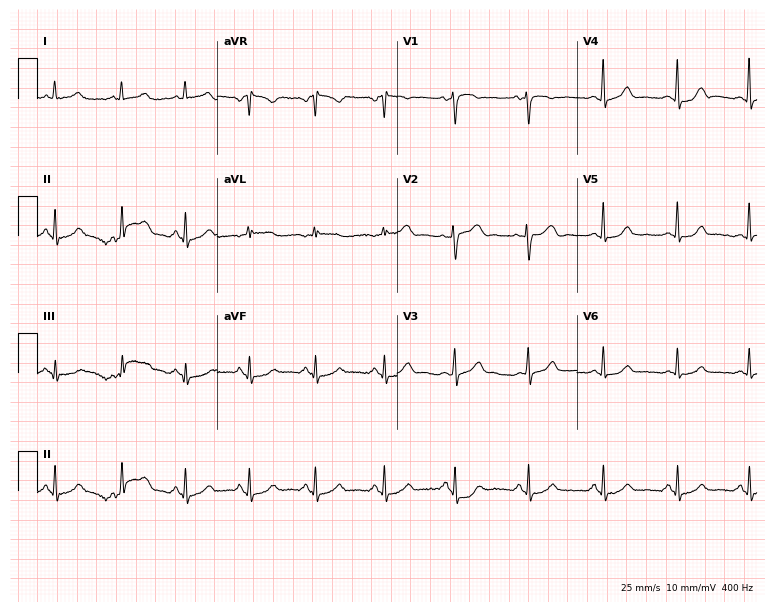
12-lead ECG from a female, 41 years old. Recorded interpretation: within normal limits.